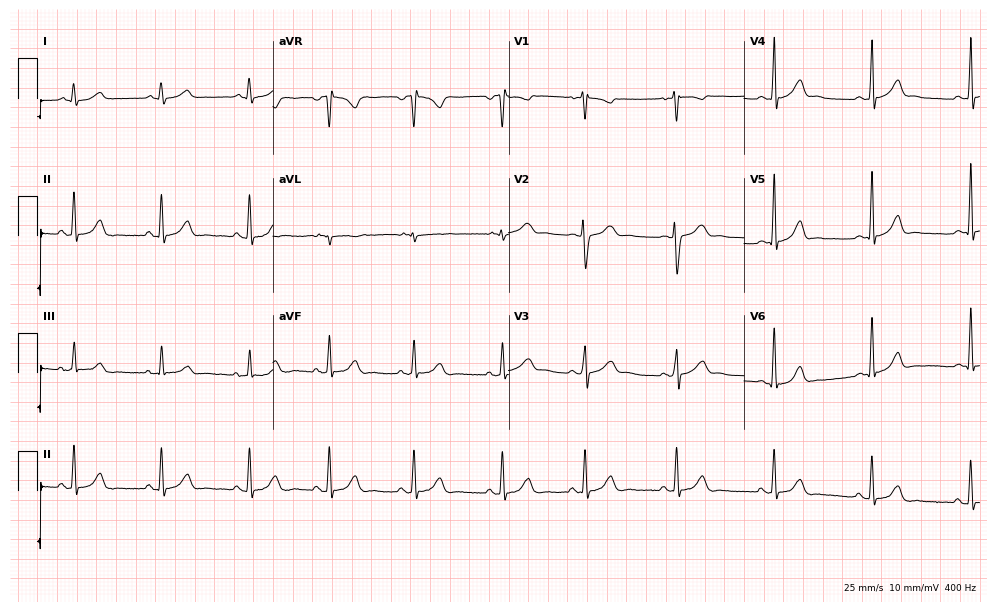
Standard 12-lead ECG recorded from a 22-year-old female patient (9.6-second recording at 400 Hz). Read as a normal ECG.